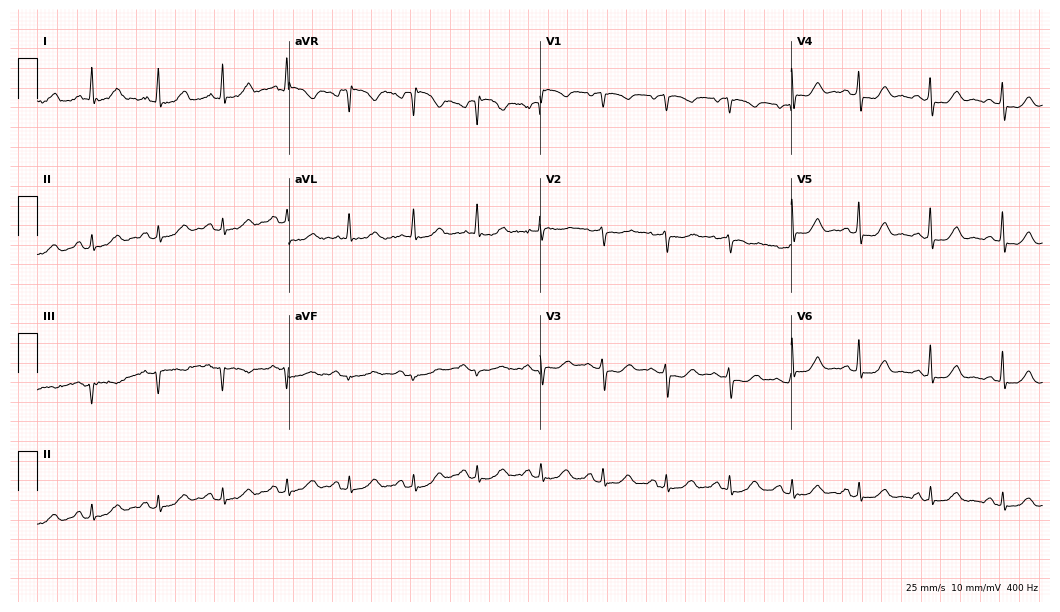
12-lead ECG from a 69-year-old female (10.2-second recording at 400 Hz). Recorded interpretation: within normal limits.